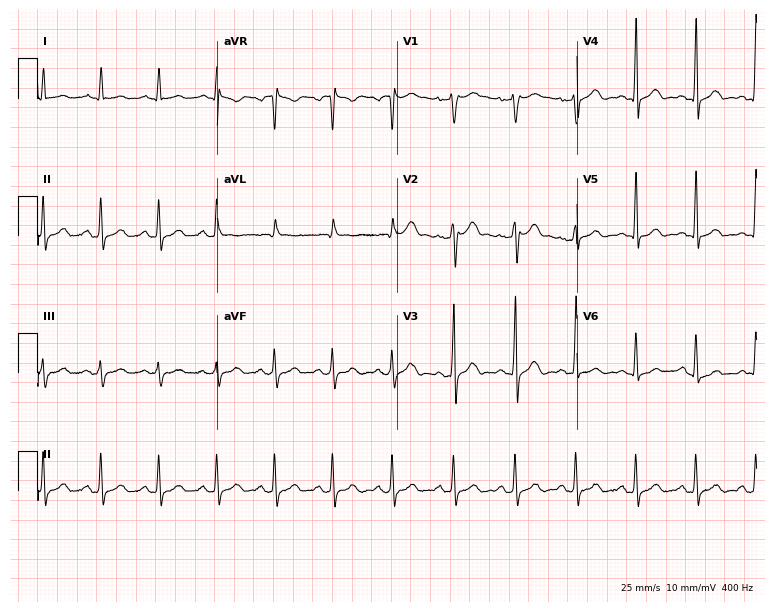
12-lead ECG (7.3-second recording at 400 Hz) from a 51-year-old male patient. Labelled as a normal ECG.